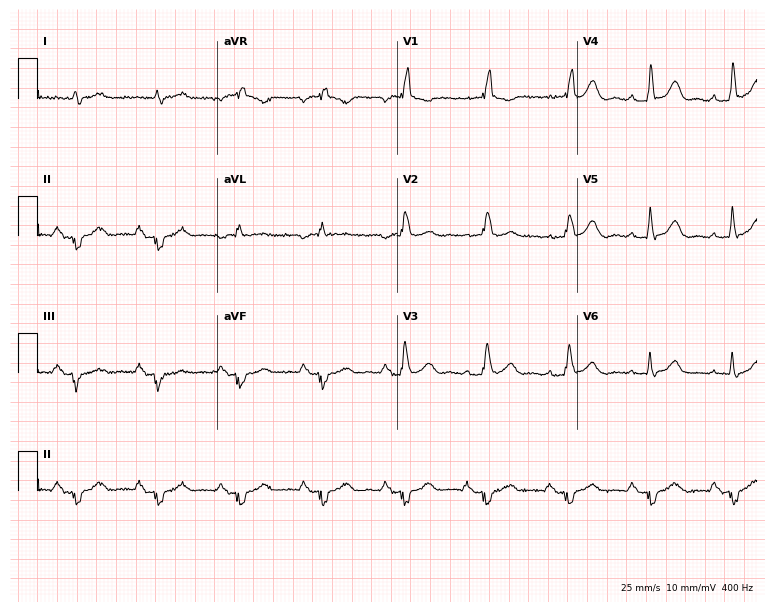
Standard 12-lead ECG recorded from a 65-year-old male patient (7.3-second recording at 400 Hz). The tracing shows right bundle branch block.